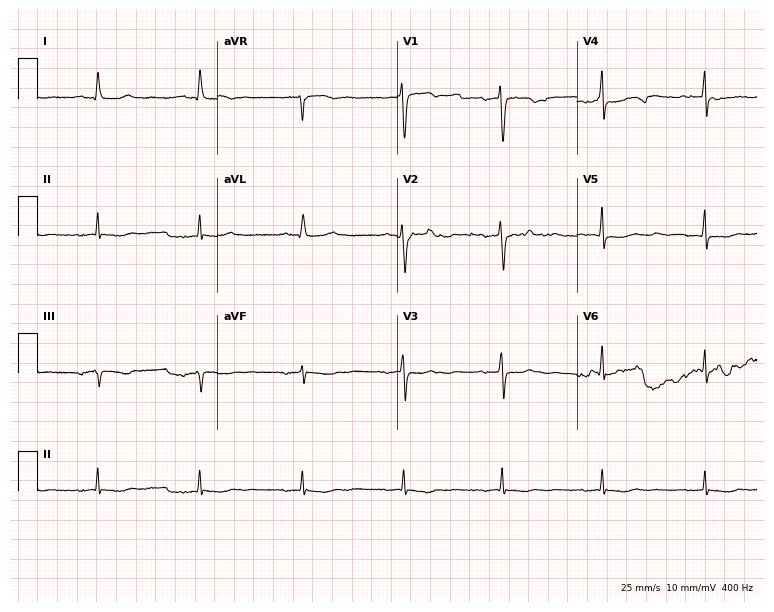
ECG (7.3-second recording at 400 Hz) — a 76-year-old female. Screened for six findings — first-degree AV block, right bundle branch block, left bundle branch block, sinus bradycardia, atrial fibrillation, sinus tachycardia — none is recorded.